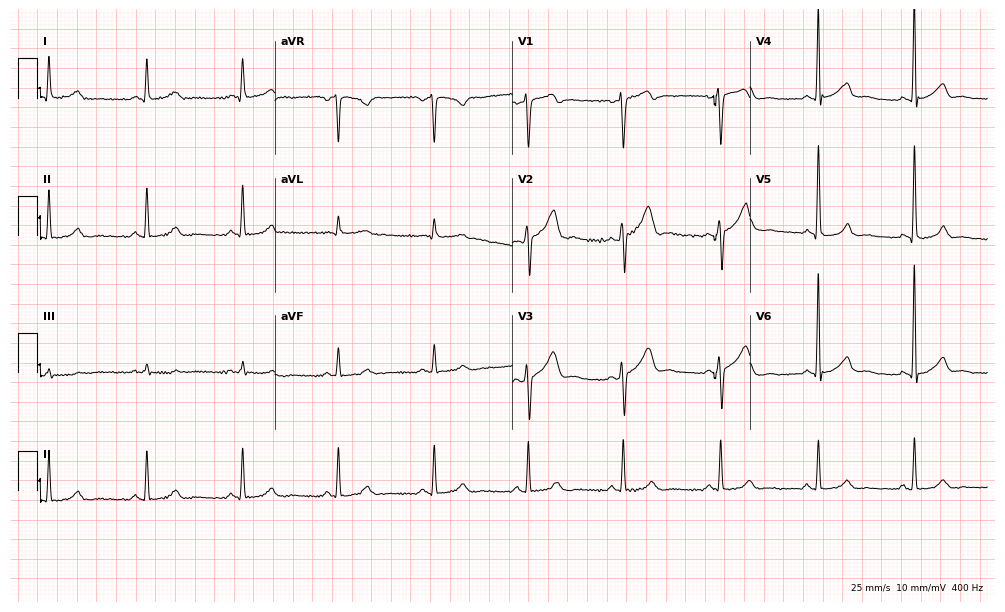
ECG (9.7-second recording at 400 Hz) — a male patient, 56 years old. Labelled as a normal ECG.